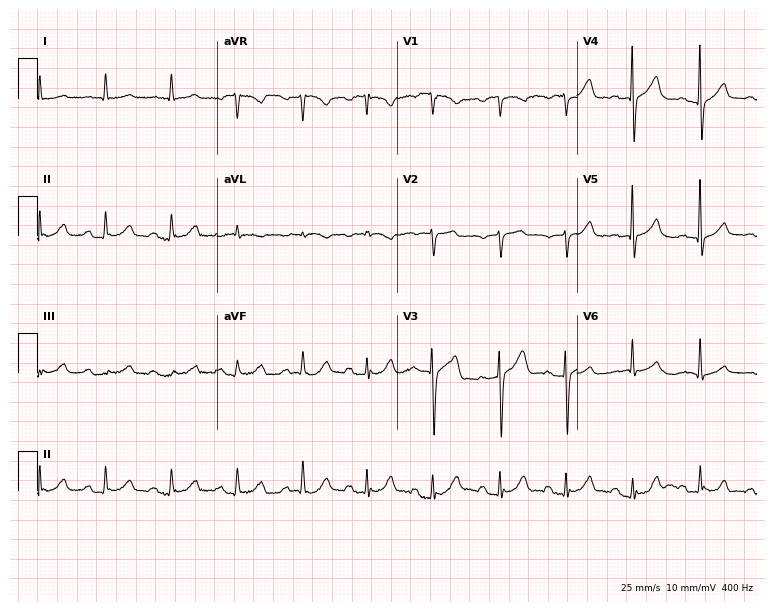
Electrocardiogram (7.3-second recording at 400 Hz), a 76-year-old male. Of the six screened findings (first-degree AV block, right bundle branch block (RBBB), left bundle branch block (LBBB), sinus bradycardia, atrial fibrillation (AF), sinus tachycardia), none is recorded. Findings outside these six are not listed.